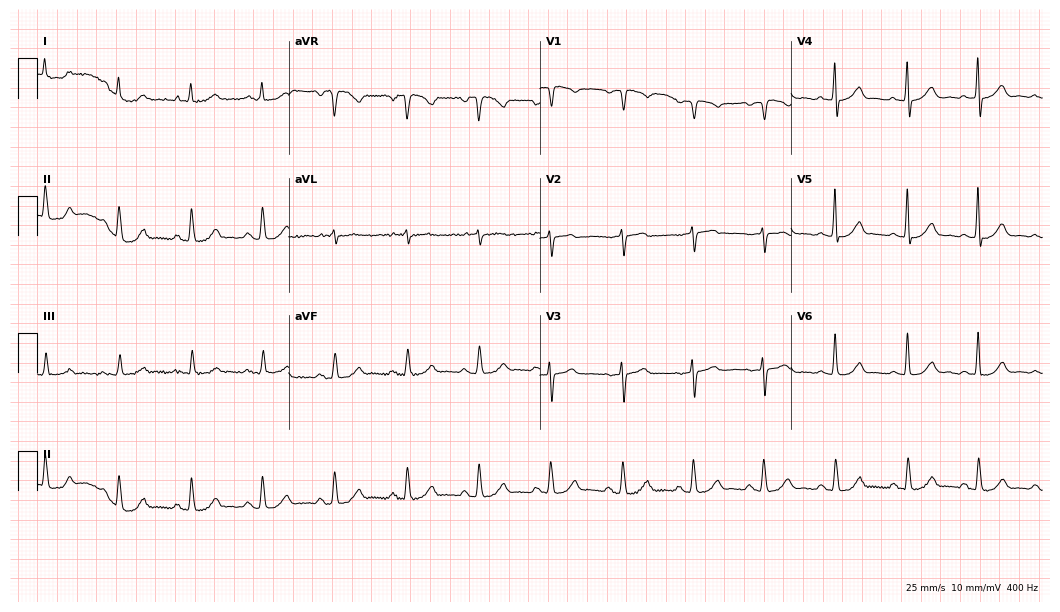
Resting 12-lead electrocardiogram (10.2-second recording at 400 Hz). Patient: a 66-year-old female. Read as a normal ECG.